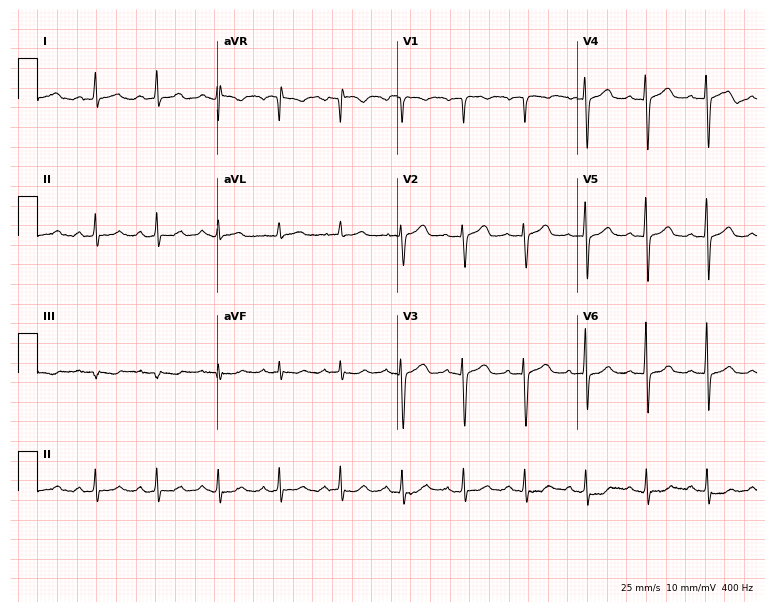
12-lead ECG from a woman, 49 years old (7.3-second recording at 400 Hz). Recorded interpretation: within normal limits.